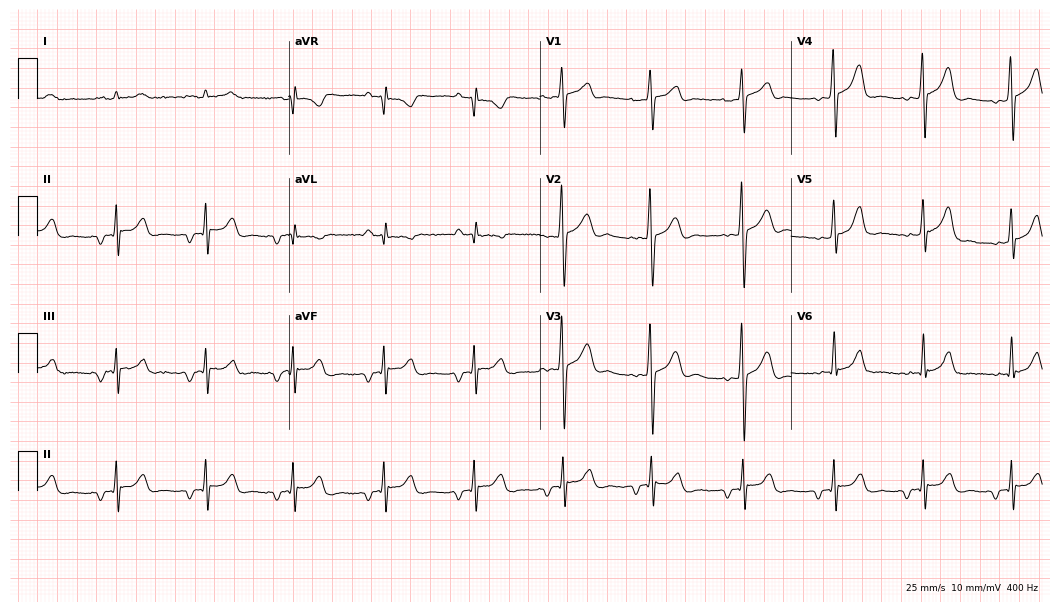
Resting 12-lead electrocardiogram. Patient: a 23-year-old man. None of these six findings is recorded: first-degree AV block, right bundle branch block, left bundle branch block, sinus bradycardia, atrial fibrillation, sinus tachycardia. Other findings, if any, are not listed.